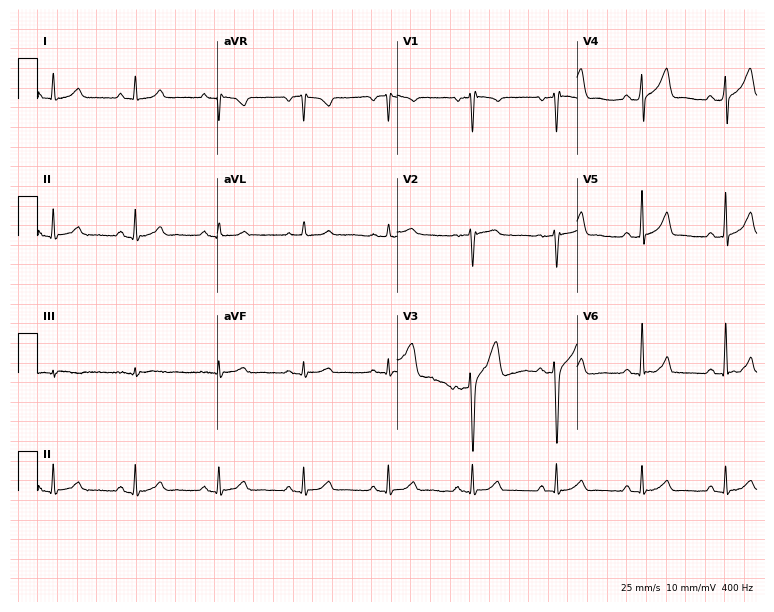
ECG — a male, 52 years old. Screened for six findings — first-degree AV block, right bundle branch block, left bundle branch block, sinus bradycardia, atrial fibrillation, sinus tachycardia — none is recorded.